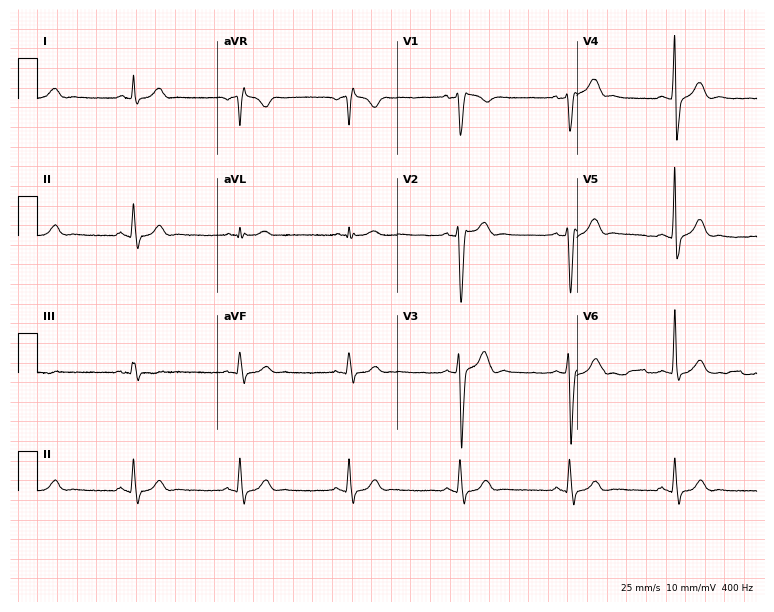
Resting 12-lead electrocardiogram (7.3-second recording at 400 Hz). Patient: a 39-year-old male. The tracing shows right bundle branch block.